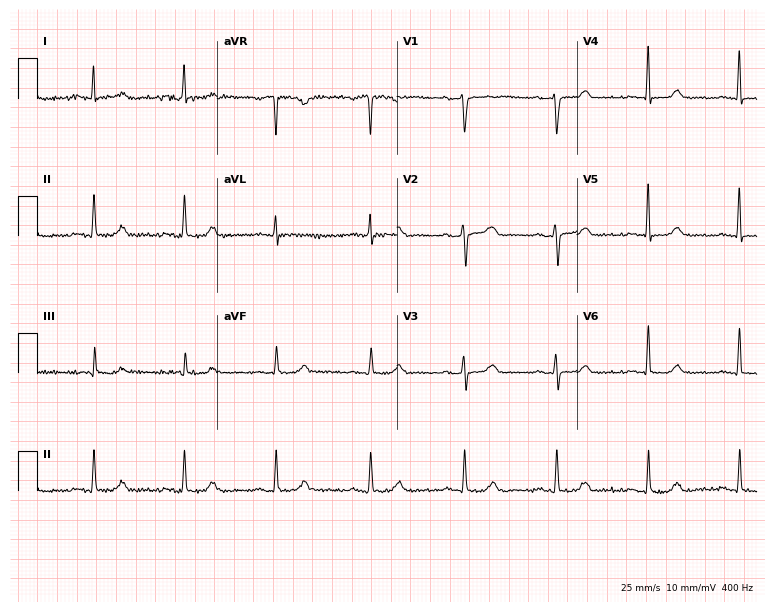
12-lead ECG from a woman, 48 years old. Screened for six findings — first-degree AV block, right bundle branch block, left bundle branch block, sinus bradycardia, atrial fibrillation, sinus tachycardia — none is recorded.